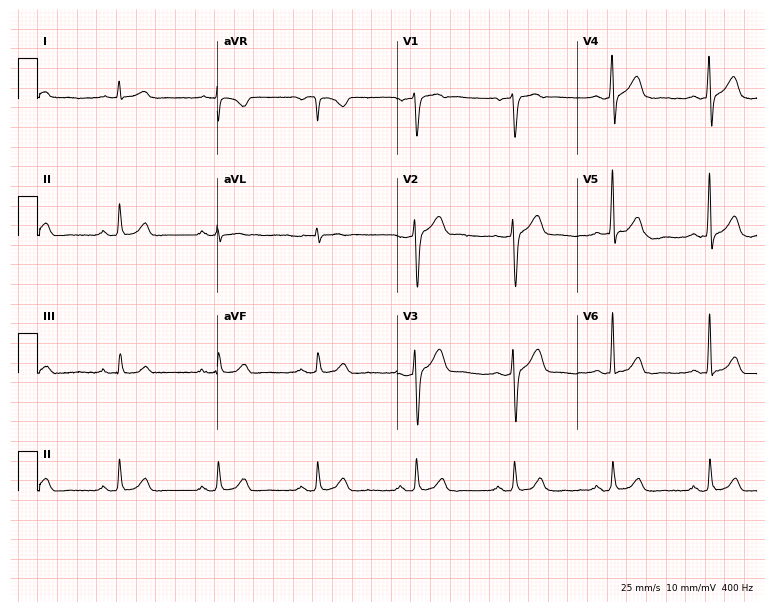
Electrocardiogram, a male, 66 years old. Overall reading on record: normal ECG.